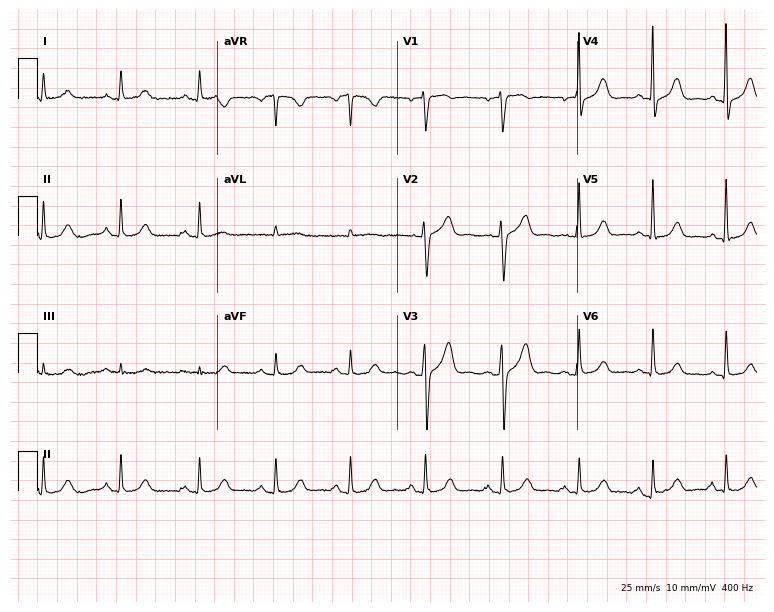
Electrocardiogram, a 58-year-old female. Overall reading on record: normal ECG.